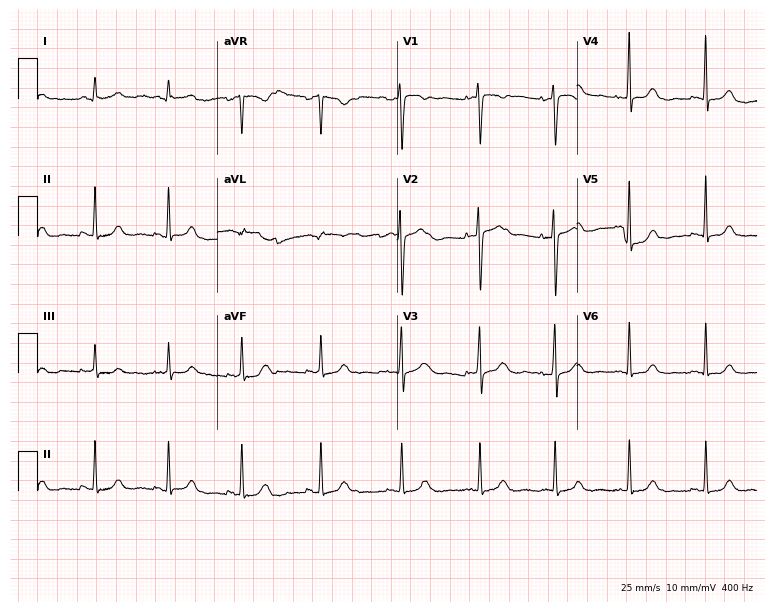
12-lead ECG from a female patient, 38 years old. Labelled as a normal ECG.